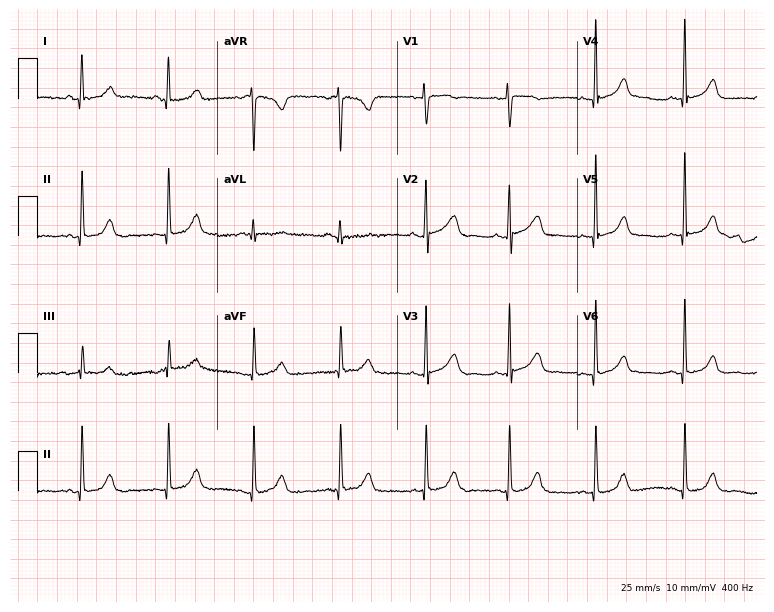
Resting 12-lead electrocardiogram. Patient: a 44-year-old woman. None of these six findings is recorded: first-degree AV block, right bundle branch block, left bundle branch block, sinus bradycardia, atrial fibrillation, sinus tachycardia.